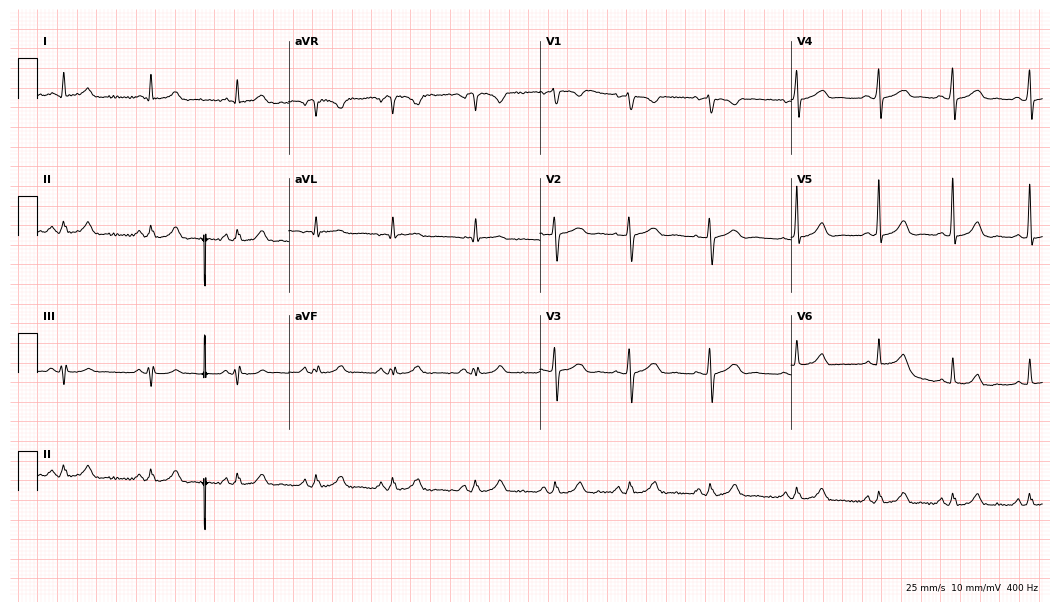
12-lead ECG from a 26-year-old woman. Labelled as a normal ECG.